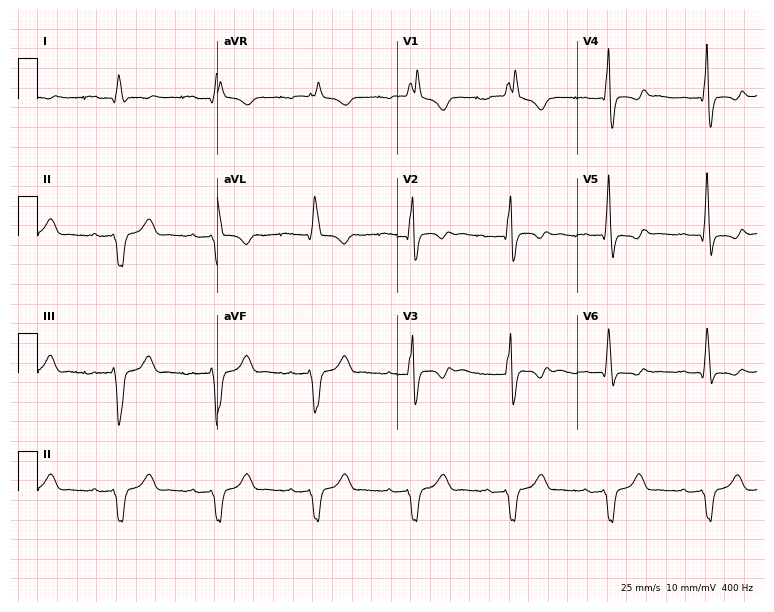
Resting 12-lead electrocardiogram (7.3-second recording at 400 Hz). Patient: a male, 39 years old. The tracing shows right bundle branch block.